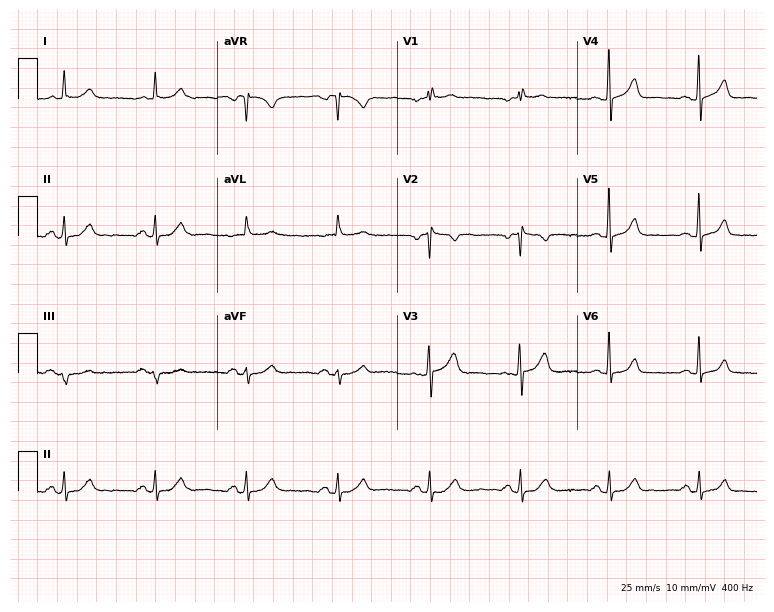
ECG — a female, 47 years old. Screened for six findings — first-degree AV block, right bundle branch block (RBBB), left bundle branch block (LBBB), sinus bradycardia, atrial fibrillation (AF), sinus tachycardia — none is recorded.